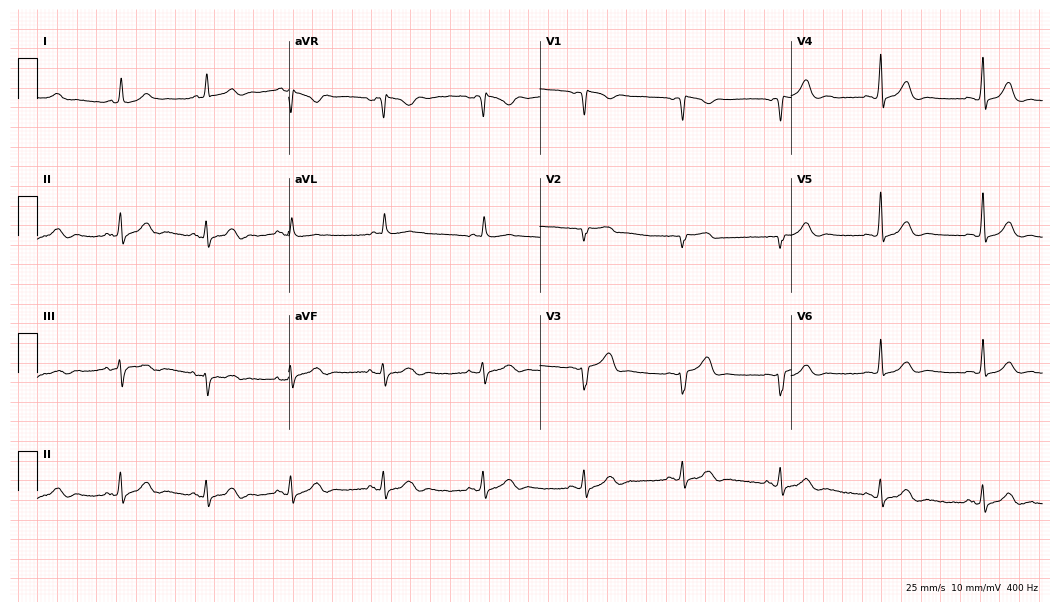
12-lead ECG (10.2-second recording at 400 Hz) from a female, 54 years old. Labelled as a normal ECG.